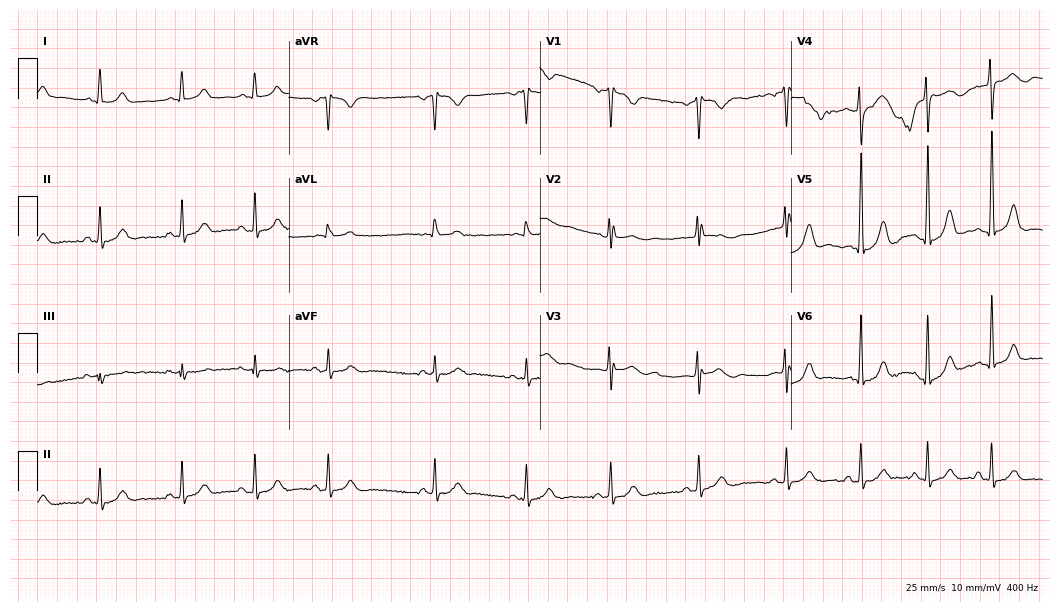
Standard 12-lead ECG recorded from a 22-year-old woman (10.2-second recording at 400 Hz). Read as a normal ECG.